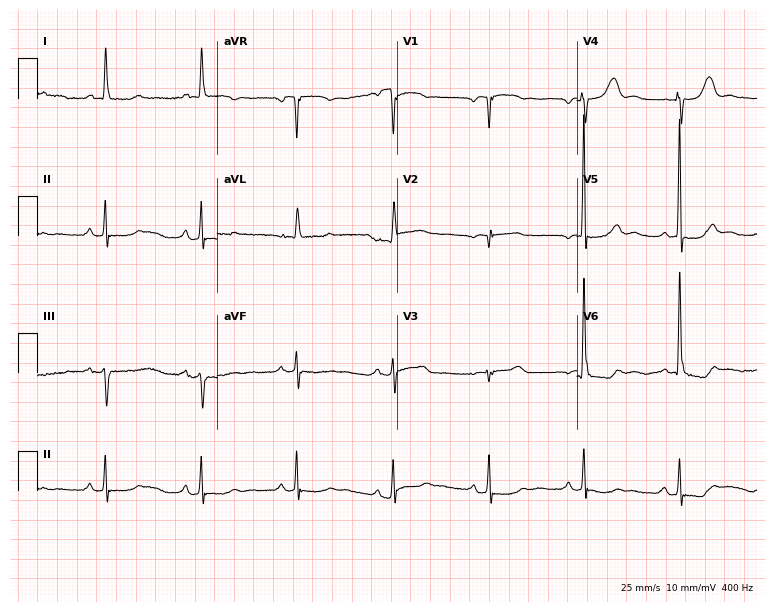
Standard 12-lead ECG recorded from a 55-year-old female. None of these six findings is recorded: first-degree AV block, right bundle branch block, left bundle branch block, sinus bradycardia, atrial fibrillation, sinus tachycardia. Other findings, if any, are not listed.